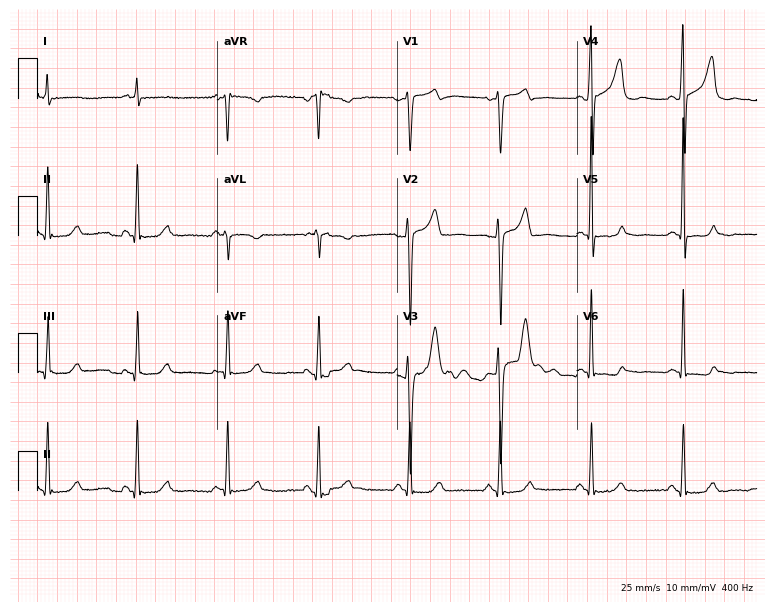
Standard 12-lead ECG recorded from a 46-year-old male patient (7.3-second recording at 400 Hz). None of these six findings is recorded: first-degree AV block, right bundle branch block, left bundle branch block, sinus bradycardia, atrial fibrillation, sinus tachycardia.